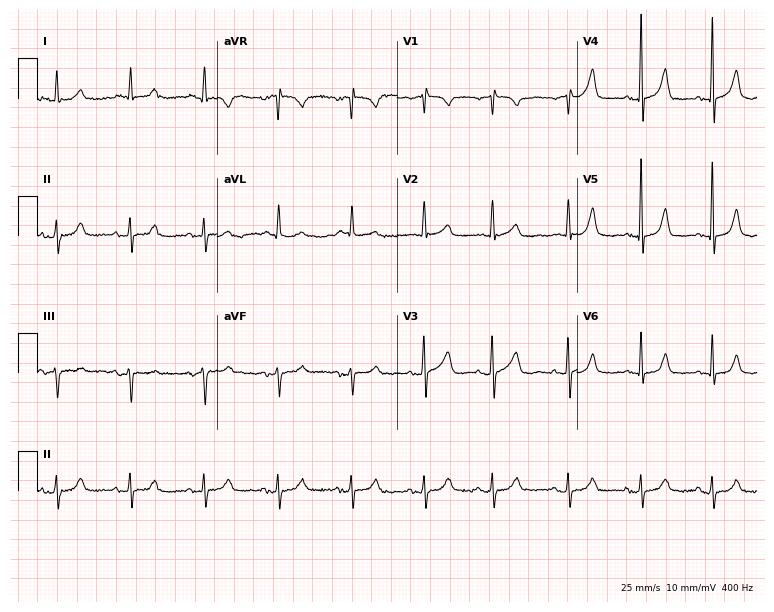
12-lead ECG from a 78-year-old female patient (7.3-second recording at 400 Hz). Recorded interpretation: within normal limits.